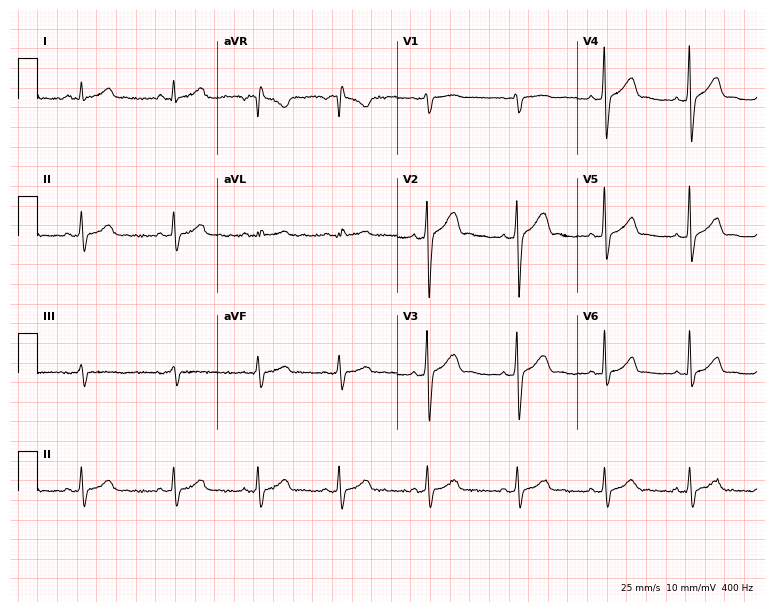
Standard 12-lead ECG recorded from a 26-year-old male patient (7.3-second recording at 400 Hz). None of these six findings is recorded: first-degree AV block, right bundle branch block, left bundle branch block, sinus bradycardia, atrial fibrillation, sinus tachycardia.